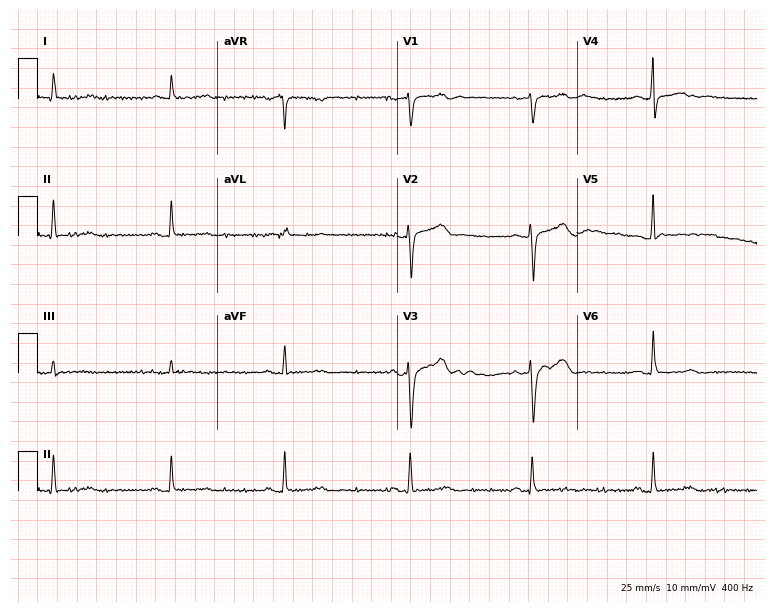
Resting 12-lead electrocardiogram (7.3-second recording at 400 Hz). Patient: a 59-year-old woman. None of these six findings is recorded: first-degree AV block, right bundle branch block (RBBB), left bundle branch block (LBBB), sinus bradycardia, atrial fibrillation (AF), sinus tachycardia. Findings outside these six are not listed.